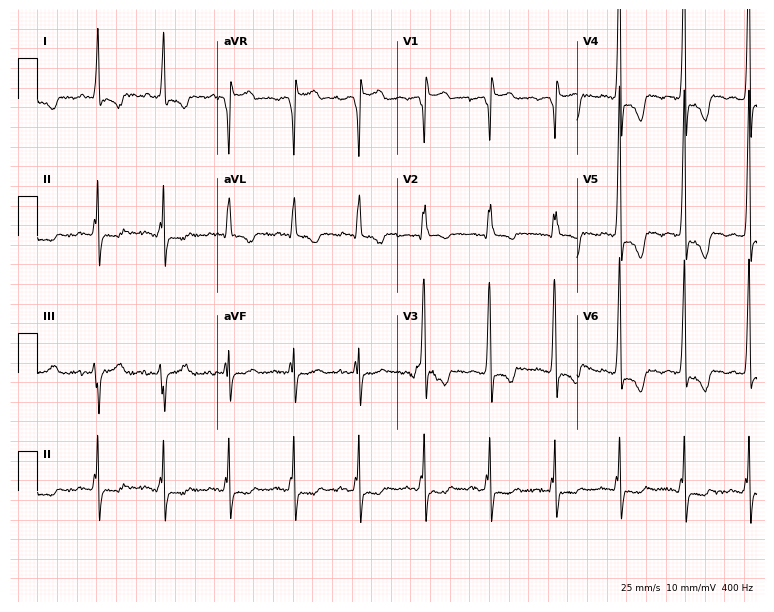
Electrocardiogram, a male patient, 48 years old. Of the six screened findings (first-degree AV block, right bundle branch block, left bundle branch block, sinus bradycardia, atrial fibrillation, sinus tachycardia), none is recorded. Other findings, if any, are not listed.